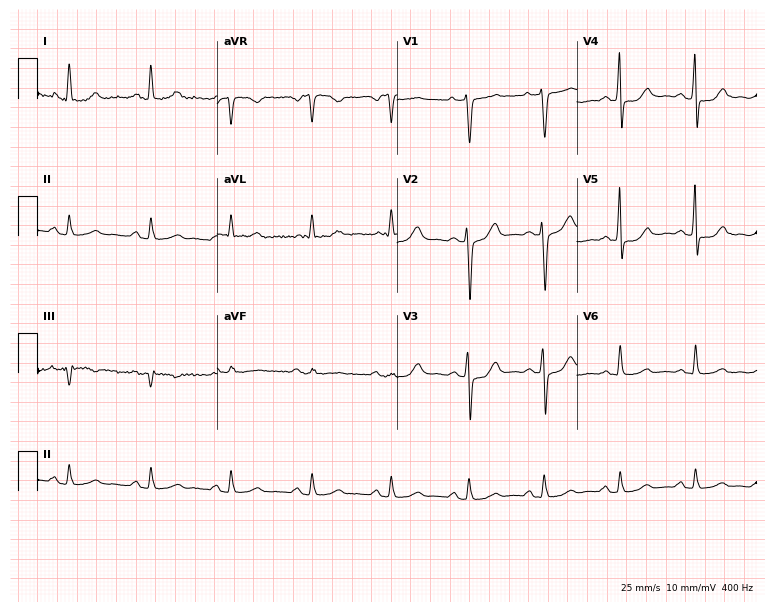
ECG — a 33-year-old female patient. Screened for six findings — first-degree AV block, right bundle branch block, left bundle branch block, sinus bradycardia, atrial fibrillation, sinus tachycardia — none is recorded. Only these six findings were labelled.